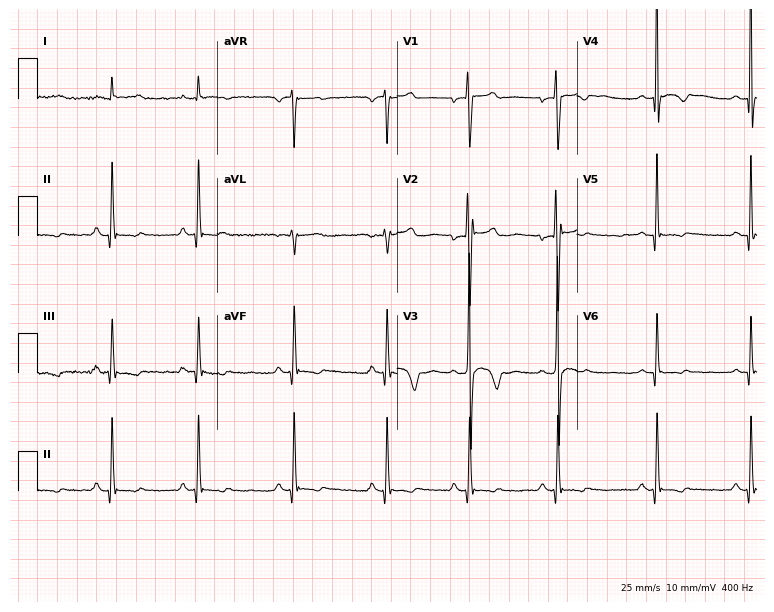
ECG (7.3-second recording at 400 Hz) — a 19-year-old man. Screened for six findings — first-degree AV block, right bundle branch block (RBBB), left bundle branch block (LBBB), sinus bradycardia, atrial fibrillation (AF), sinus tachycardia — none is recorded.